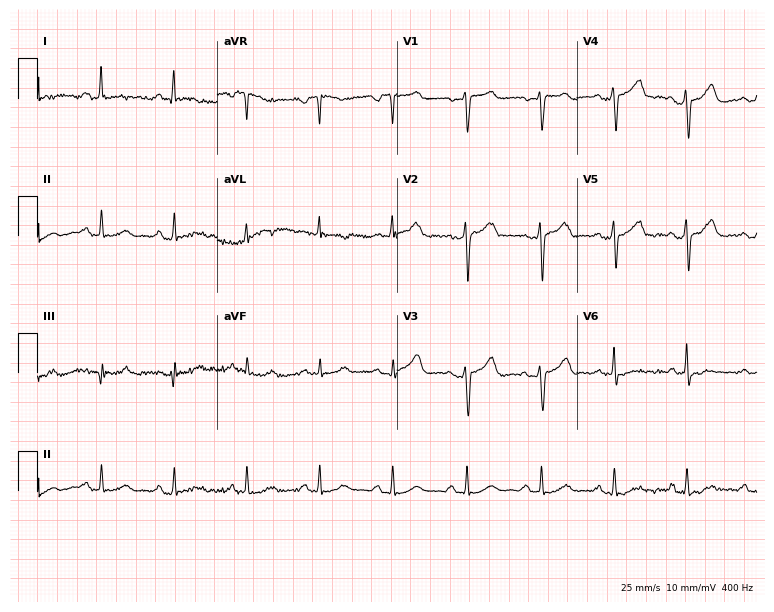
ECG (7.3-second recording at 400 Hz) — a female, 42 years old. Labelled as a normal ECG.